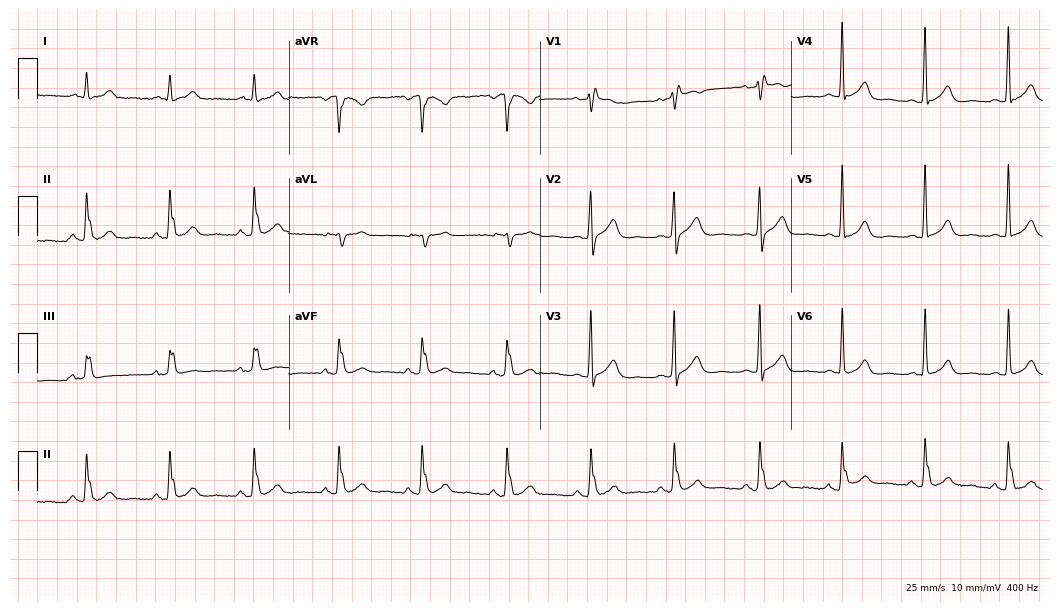
12-lead ECG from a 66-year-old male patient. Screened for six findings — first-degree AV block, right bundle branch block, left bundle branch block, sinus bradycardia, atrial fibrillation, sinus tachycardia — none is recorded.